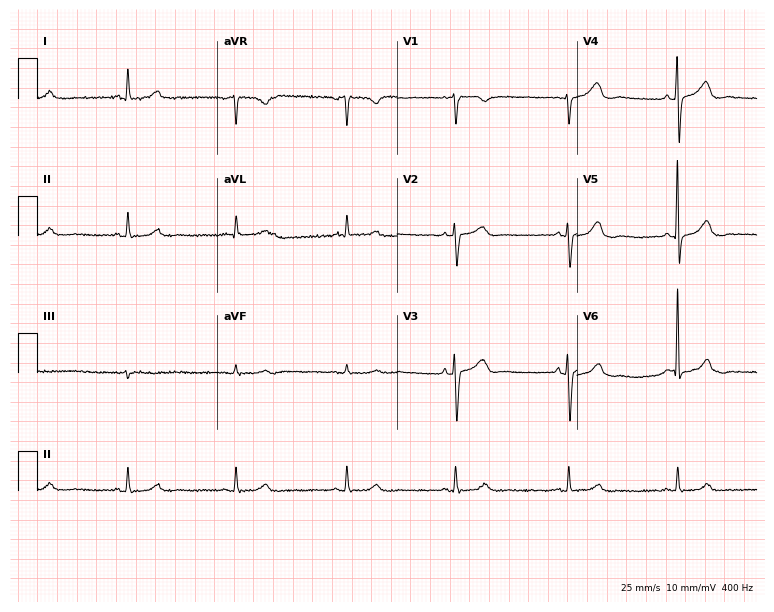
Standard 12-lead ECG recorded from a woman, 71 years old. None of these six findings is recorded: first-degree AV block, right bundle branch block (RBBB), left bundle branch block (LBBB), sinus bradycardia, atrial fibrillation (AF), sinus tachycardia. Other findings, if any, are not listed.